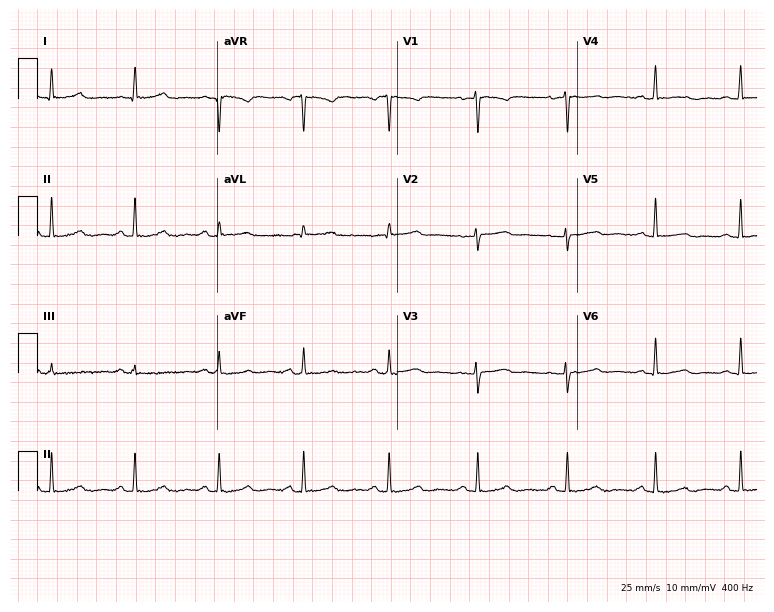
12-lead ECG (7.3-second recording at 400 Hz) from a female patient, 36 years old. Screened for six findings — first-degree AV block, right bundle branch block, left bundle branch block, sinus bradycardia, atrial fibrillation, sinus tachycardia — none is recorded. Findings outside these six are not listed.